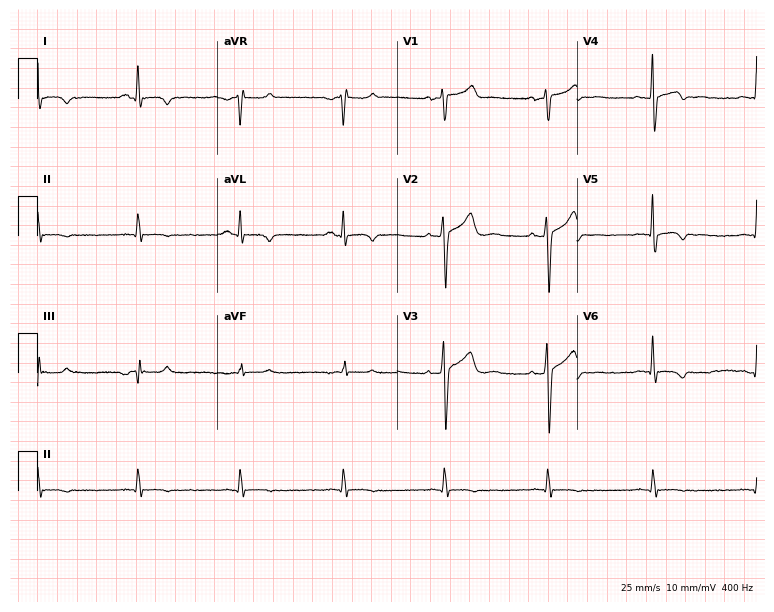
12-lead ECG from a 34-year-old male. No first-degree AV block, right bundle branch block (RBBB), left bundle branch block (LBBB), sinus bradycardia, atrial fibrillation (AF) or sinus tachycardia recorded for this tracing.